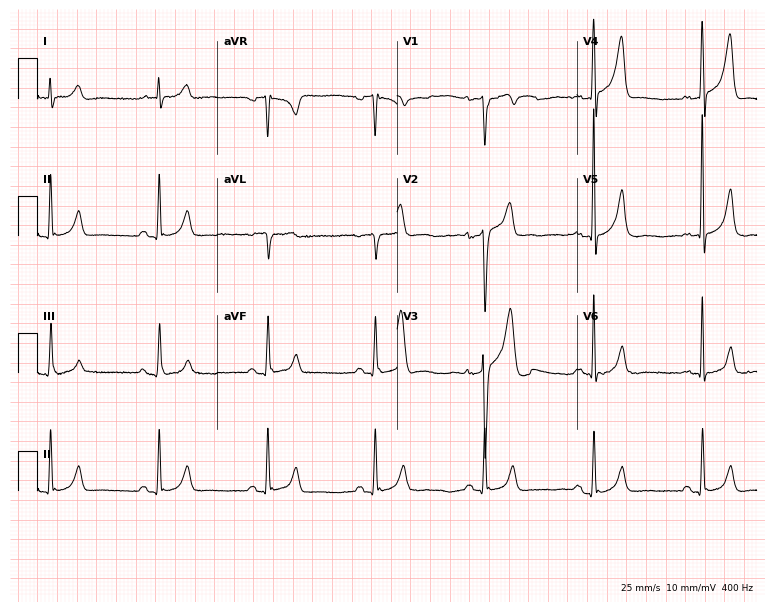
Resting 12-lead electrocardiogram (7.3-second recording at 400 Hz). Patient: a male, 58 years old. None of these six findings is recorded: first-degree AV block, right bundle branch block (RBBB), left bundle branch block (LBBB), sinus bradycardia, atrial fibrillation (AF), sinus tachycardia.